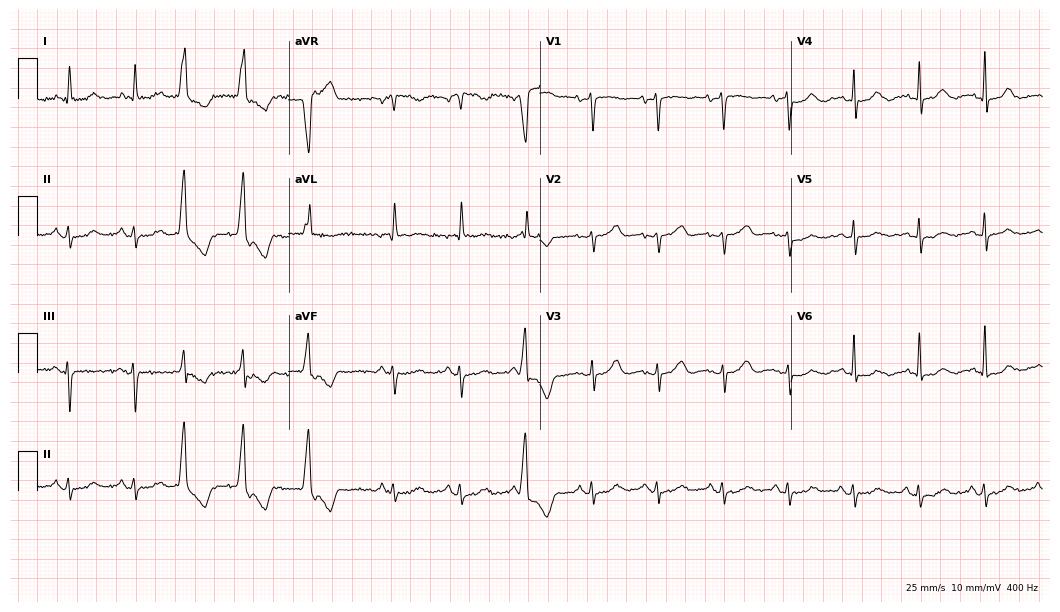
12-lead ECG from a female patient, 69 years old (10.2-second recording at 400 Hz). No first-degree AV block, right bundle branch block, left bundle branch block, sinus bradycardia, atrial fibrillation or sinus tachycardia recorded for this tracing.